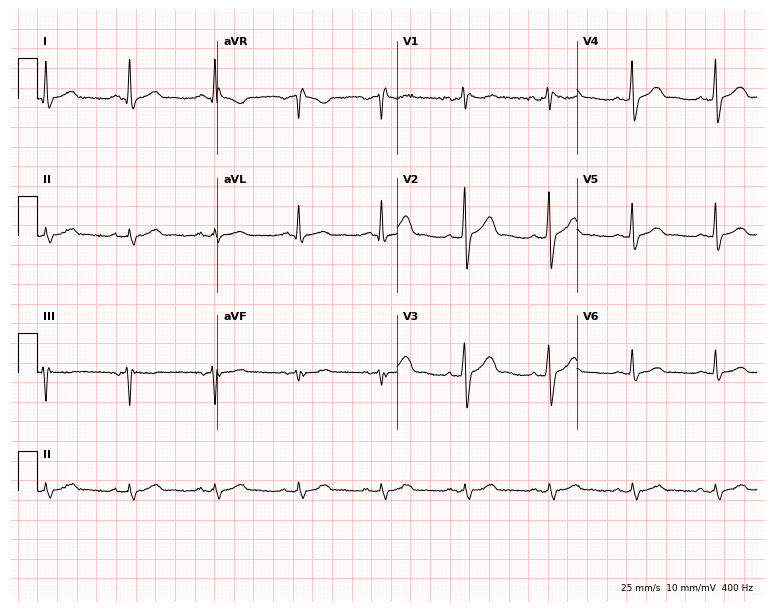
12-lead ECG from a male patient, 68 years old. Screened for six findings — first-degree AV block, right bundle branch block, left bundle branch block, sinus bradycardia, atrial fibrillation, sinus tachycardia — none is recorded.